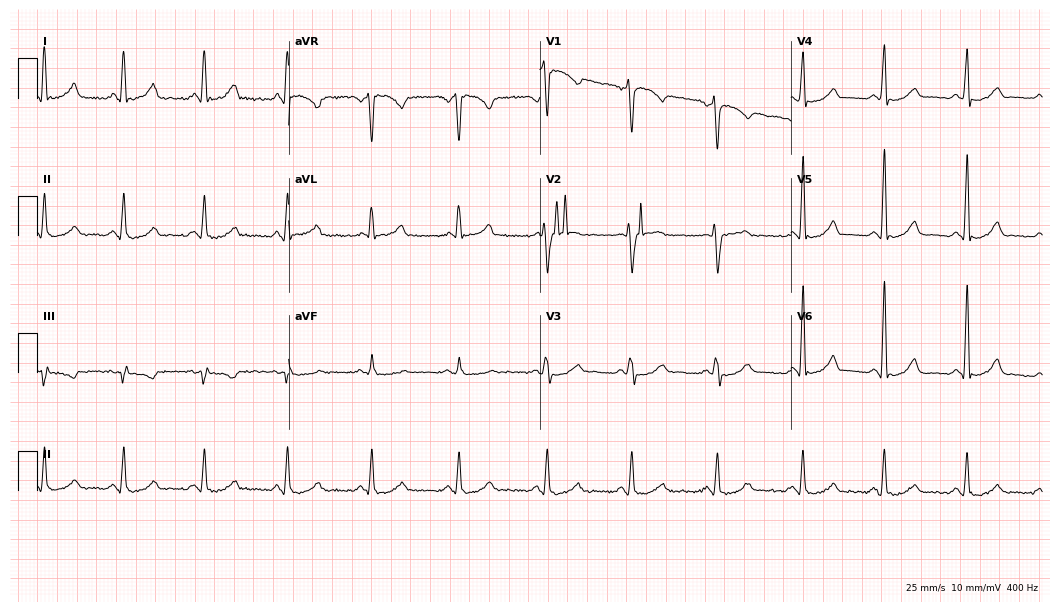
Standard 12-lead ECG recorded from a 46-year-old man (10.2-second recording at 400 Hz). None of these six findings is recorded: first-degree AV block, right bundle branch block (RBBB), left bundle branch block (LBBB), sinus bradycardia, atrial fibrillation (AF), sinus tachycardia.